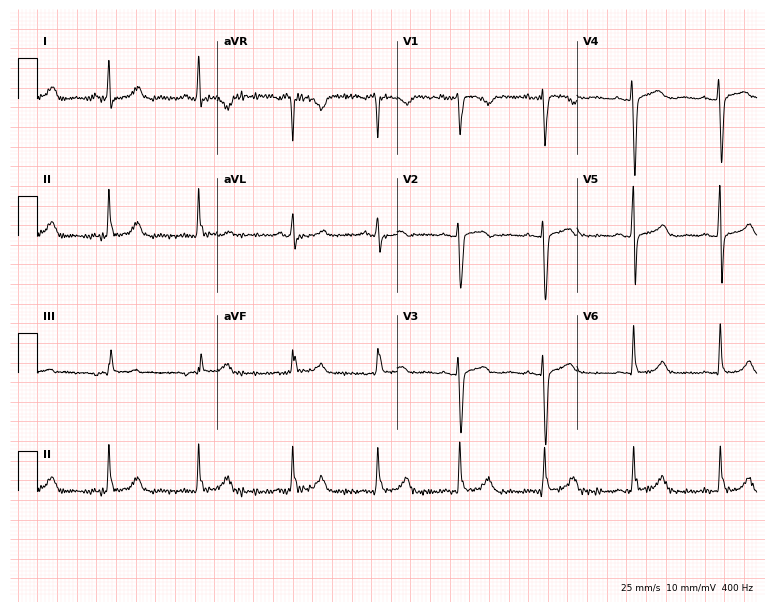
Standard 12-lead ECG recorded from a woman, 49 years old (7.3-second recording at 400 Hz). Read as a normal ECG.